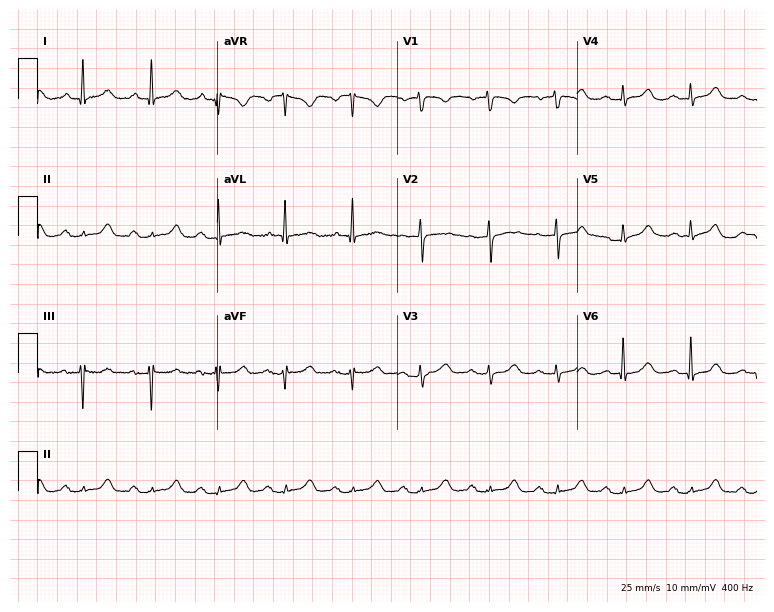
ECG (7.3-second recording at 400 Hz) — a 77-year-old female. Screened for six findings — first-degree AV block, right bundle branch block, left bundle branch block, sinus bradycardia, atrial fibrillation, sinus tachycardia — none is recorded.